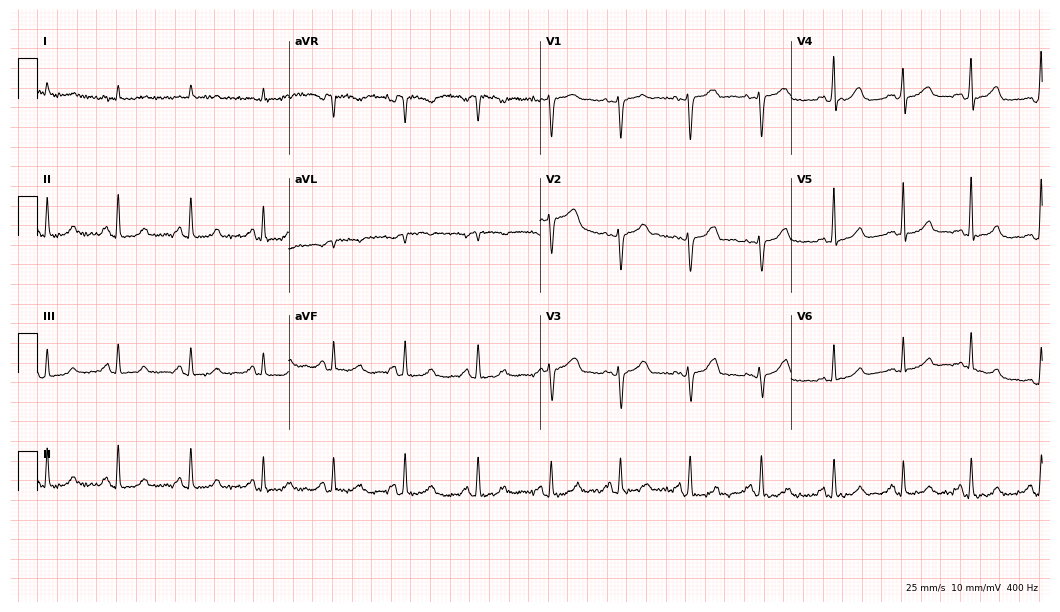
ECG — a 60-year-old female patient. Labelled as a normal ECG.